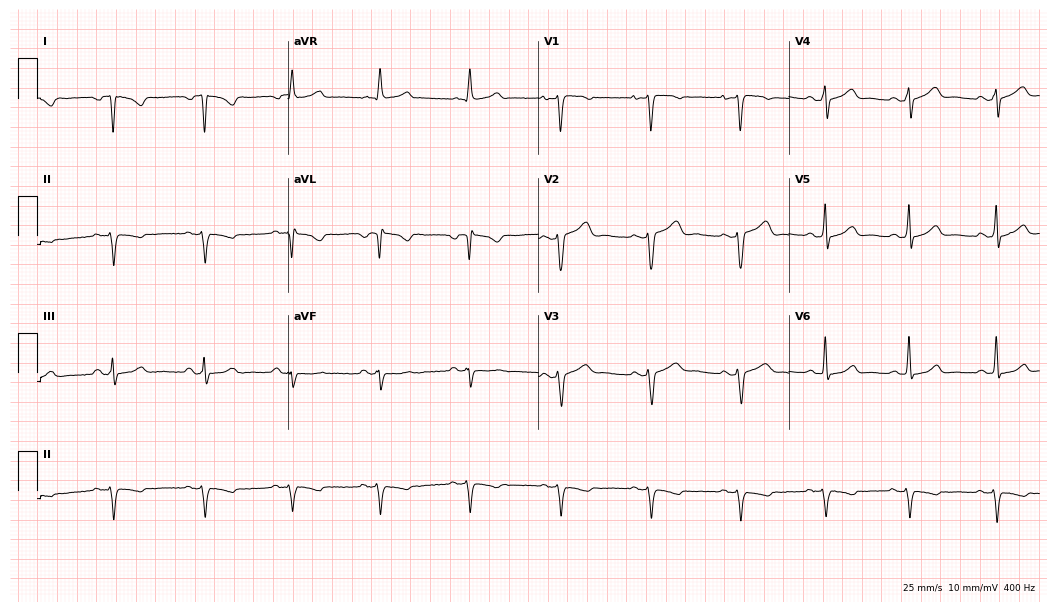
12-lead ECG (10.2-second recording at 400 Hz) from a female, 36 years old. Screened for six findings — first-degree AV block, right bundle branch block, left bundle branch block, sinus bradycardia, atrial fibrillation, sinus tachycardia — none is recorded. Other findings, if any, are not listed.